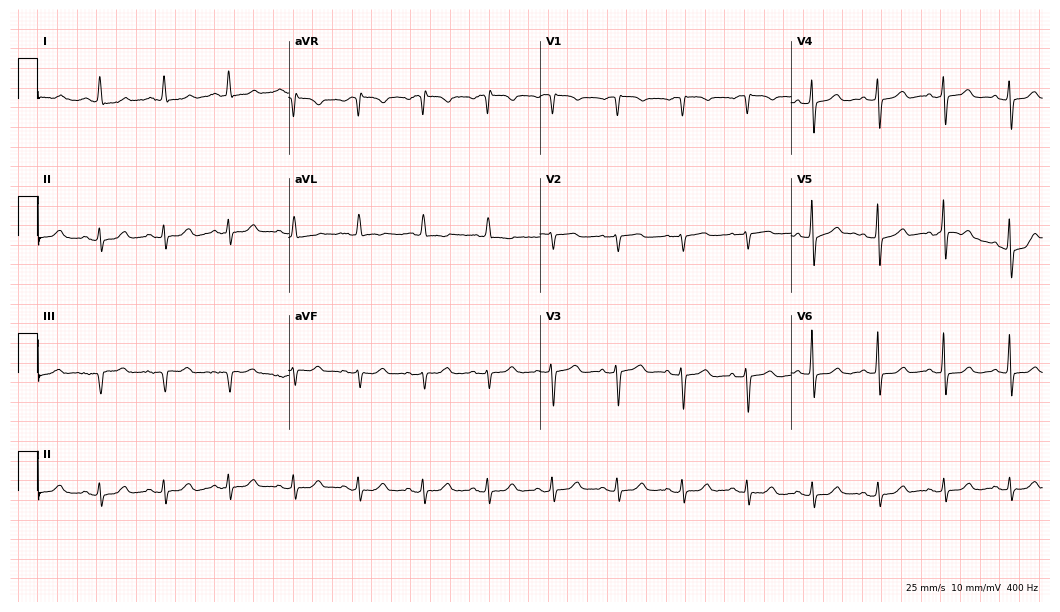
12-lead ECG from a woman, 83 years old (10.2-second recording at 400 Hz). Recorded interpretation: within normal limits.